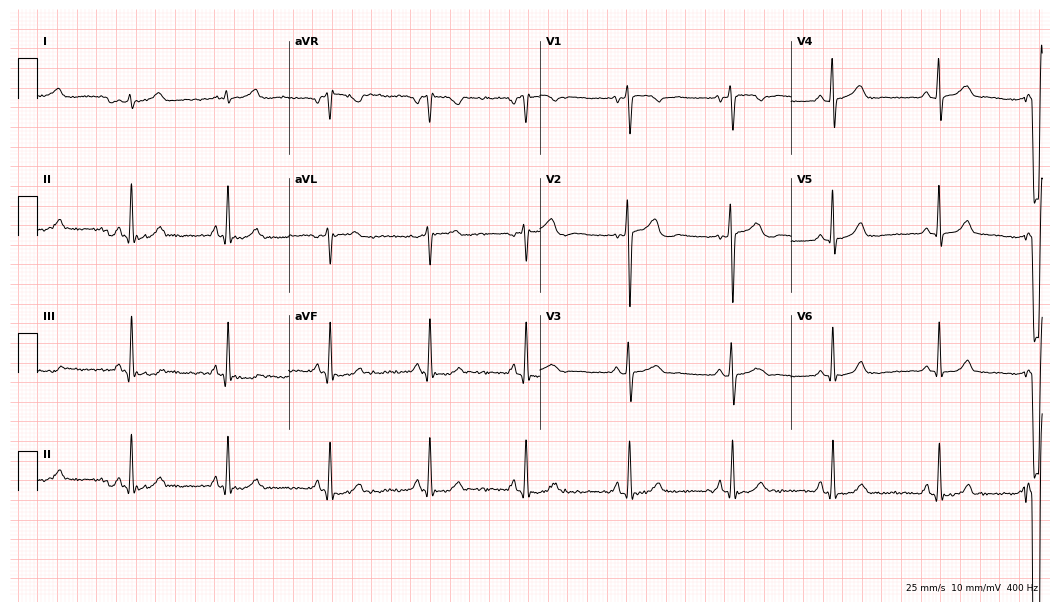
12-lead ECG from a 22-year-old man (10.2-second recording at 400 Hz). Recorded interpretation: within normal limits.